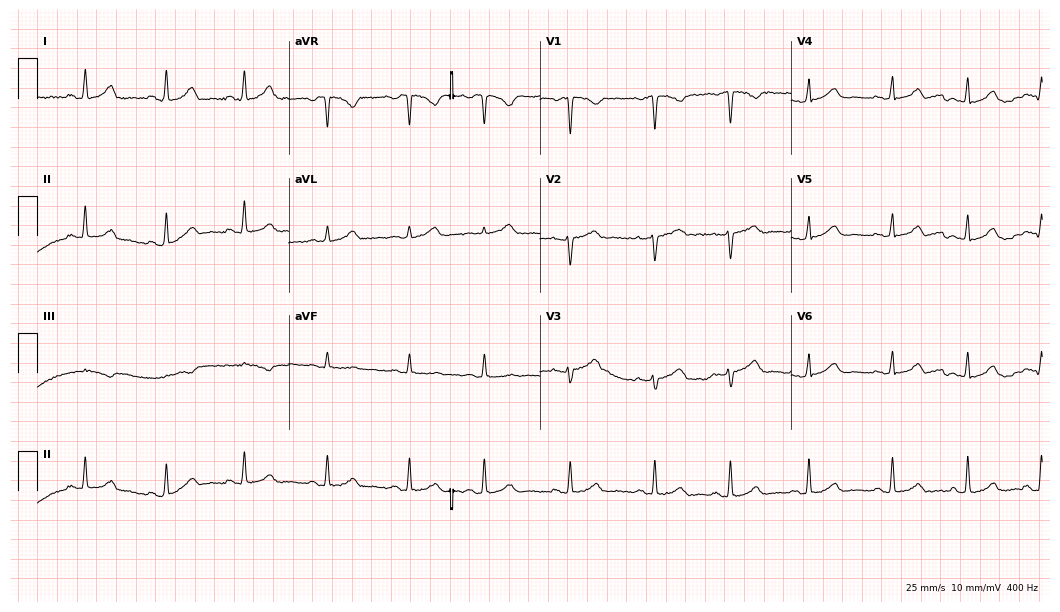
Electrocardiogram (10.2-second recording at 400 Hz), a 34-year-old female patient. Overall reading on record: normal ECG.